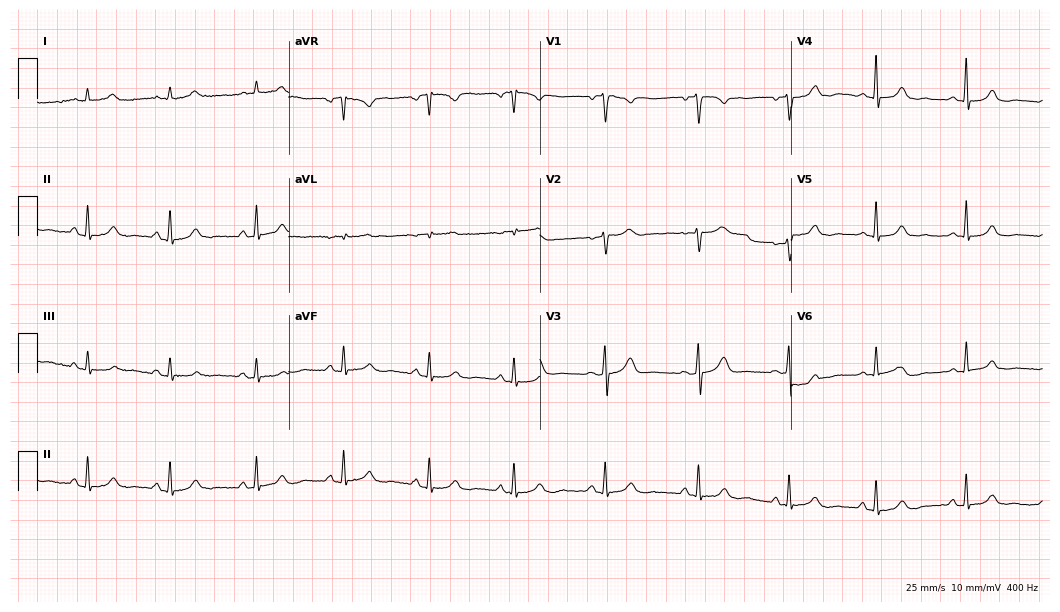
ECG (10.2-second recording at 400 Hz) — a 57-year-old female. Labelled as a normal ECG.